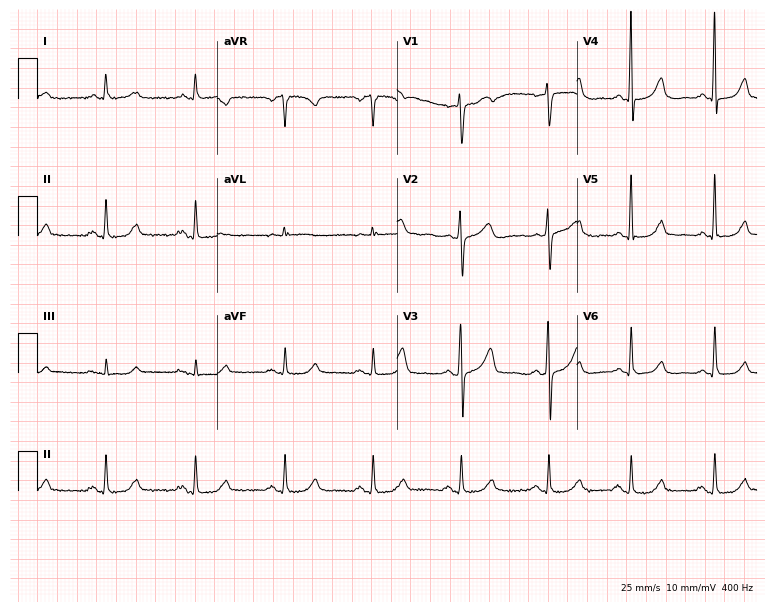
12-lead ECG from a female patient, 73 years old. Screened for six findings — first-degree AV block, right bundle branch block (RBBB), left bundle branch block (LBBB), sinus bradycardia, atrial fibrillation (AF), sinus tachycardia — none is recorded. Only these six findings were labelled.